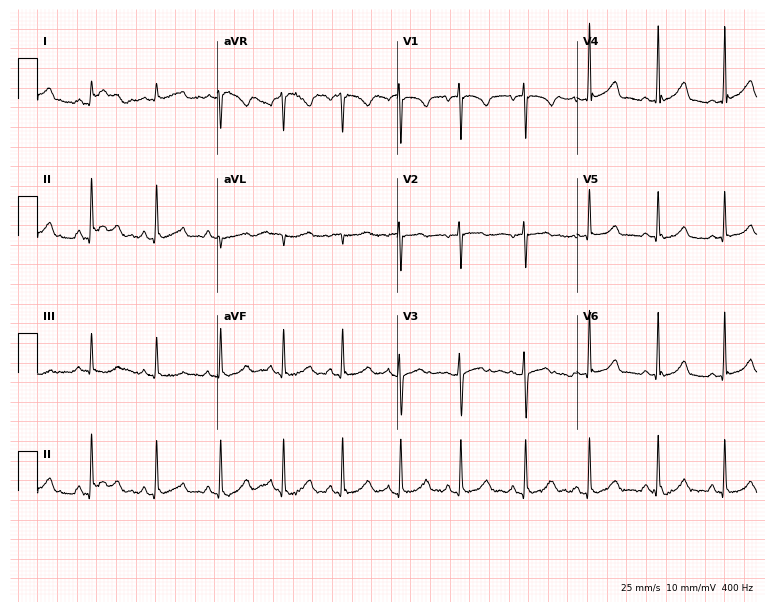
12-lead ECG from a female patient, 18 years old (7.3-second recording at 400 Hz). Recorded interpretation: within normal limits.